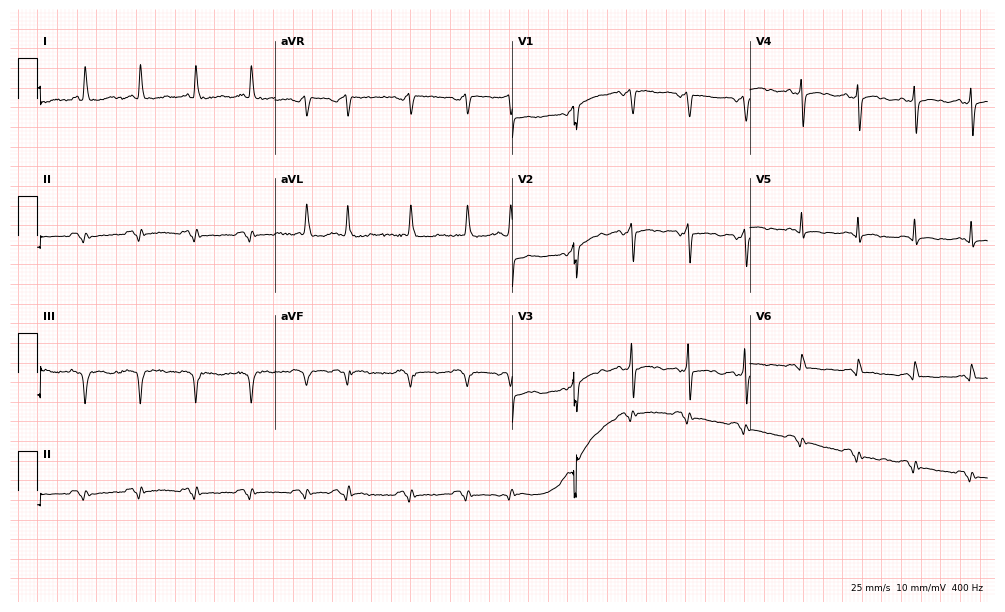
Electrocardiogram (9.7-second recording at 400 Hz), a woman, 81 years old. Interpretation includes sinus tachycardia (a sinus rate of 100 beats per minute or more).